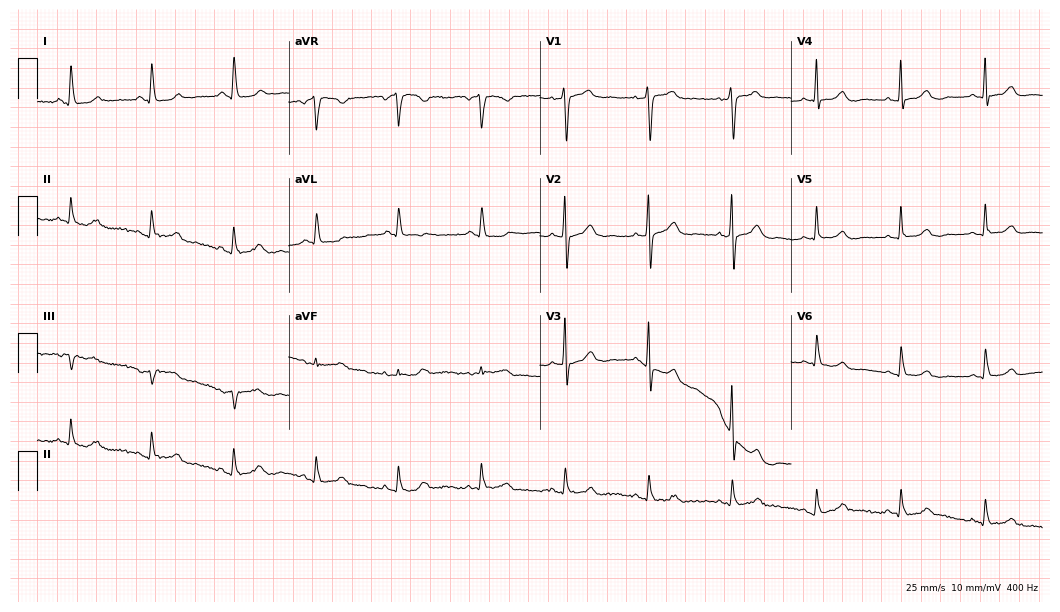
ECG (10.2-second recording at 400 Hz) — a woman, 65 years old. Labelled as a normal ECG.